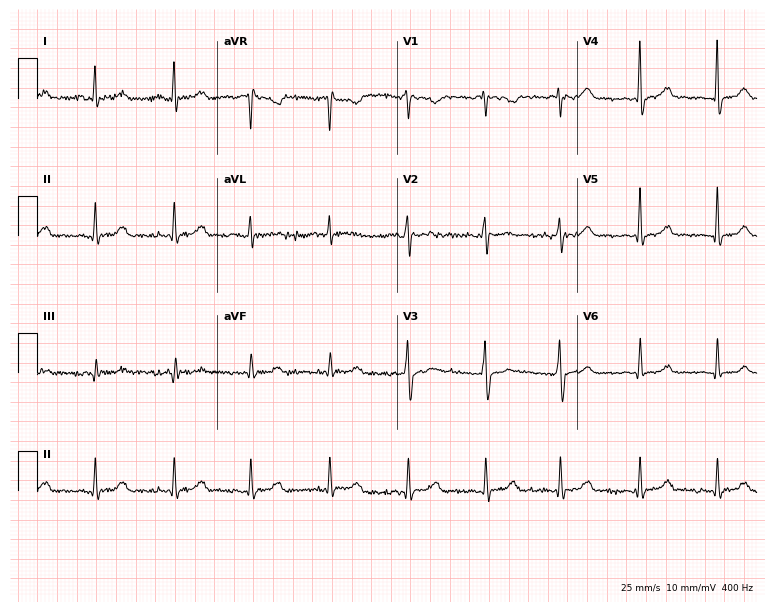
ECG (7.3-second recording at 400 Hz) — a female patient, 38 years old. Screened for six findings — first-degree AV block, right bundle branch block (RBBB), left bundle branch block (LBBB), sinus bradycardia, atrial fibrillation (AF), sinus tachycardia — none is recorded.